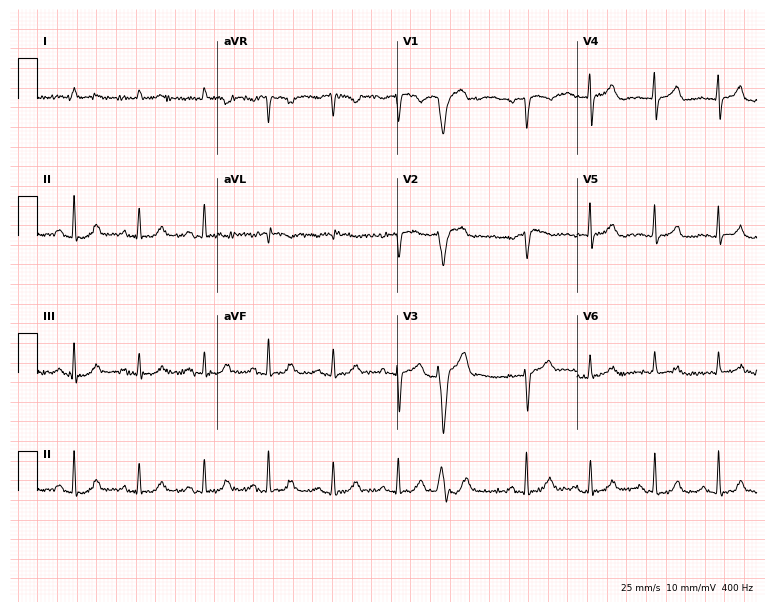
ECG — an 83-year-old male patient. Screened for six findings — first-degree AV block, right bundle branch block, left bundle branch block, sinus bradycardia, atrial fibrillation, sinus tachycardia — none is recorded.